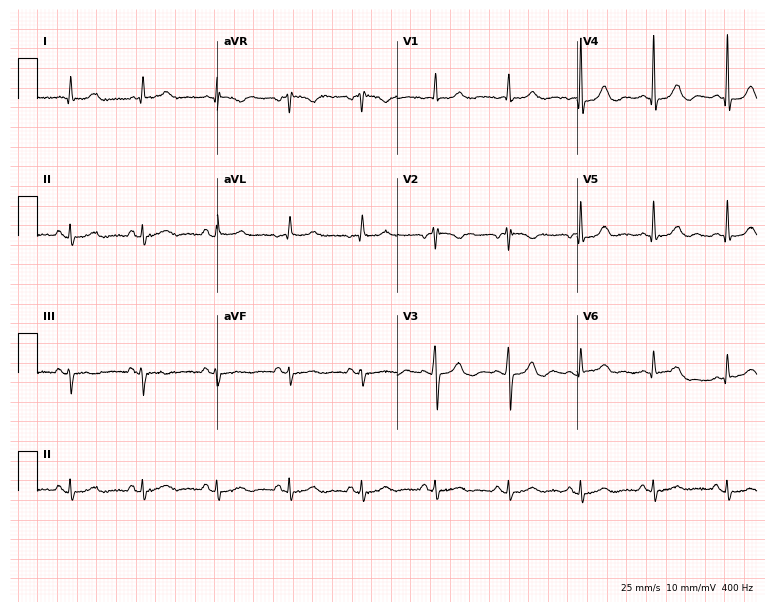
Resting 12-lead electrocardiogram. Patient: an 85-year-old female. None of these six findings is recorded: first-degree AV block, right bundle branch block, left bundle branch block, sinus bradycardia, atrial fibrillation, sinus tachycardia.